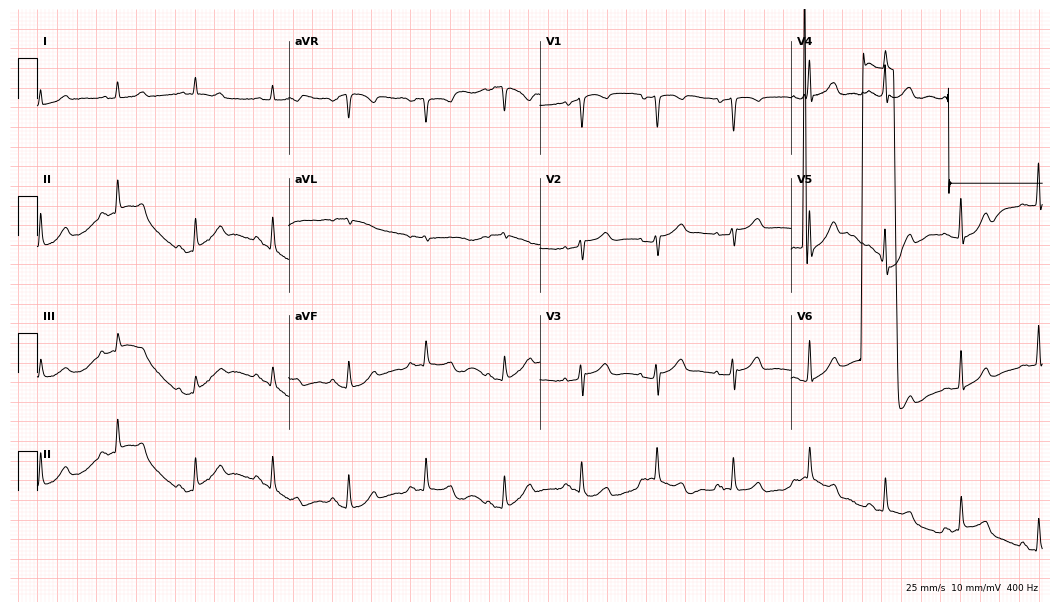
Standard 12-lead ECG recorded from a female patient, 85 years old. None of these six findings is recorded: first-degree AV block, right bundle branch block (RBBB), left bundle branch block (LBBB), sinus bradycardia, atrial fibrillation (AF), sinus tachycardia. Only these six findings were labelled.